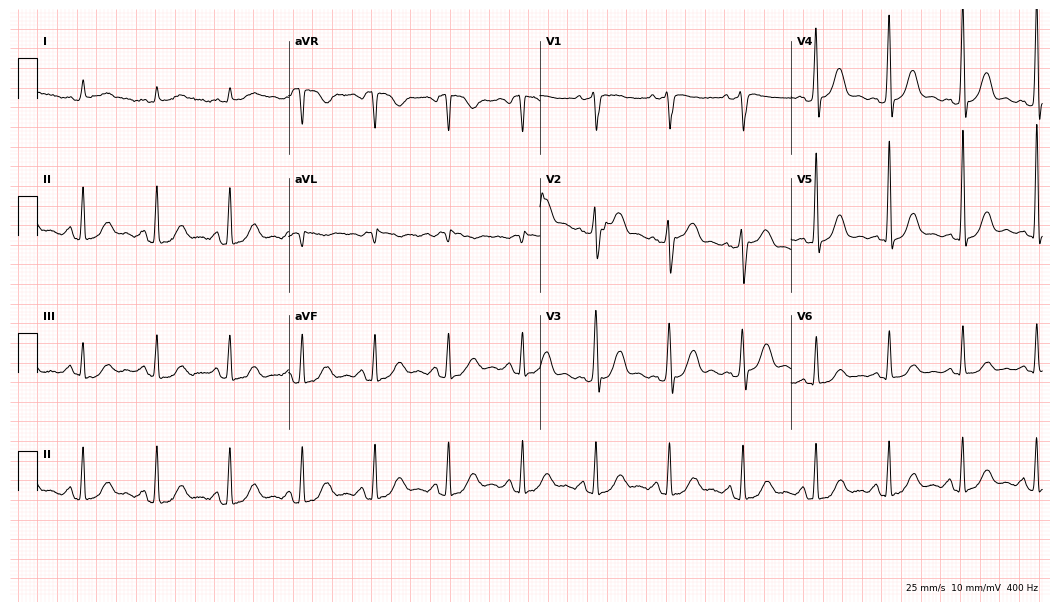
Resting 12-lead electrocardiogram. Patient: a male, 73 years old. Read as a normal ECG.